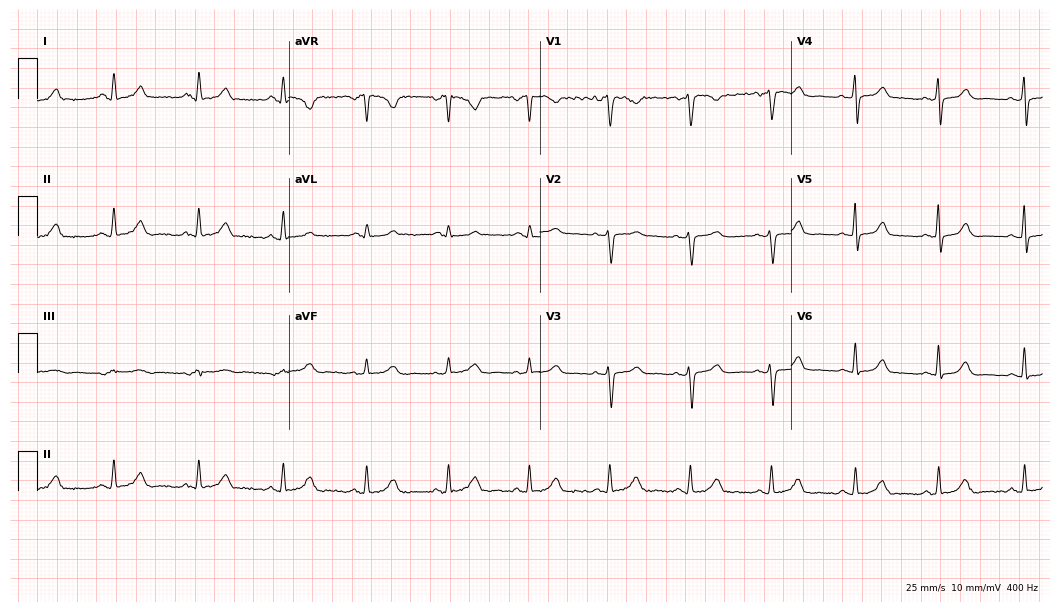
ECG — a female patient, 42 years old. Screened for six findings — first-degree AV block, right bundle branch block, left bundle branch block, sinus bradycardia, atrial fibrillation, sinus tachycardia — none is recorded. Only these six findings were labelled.